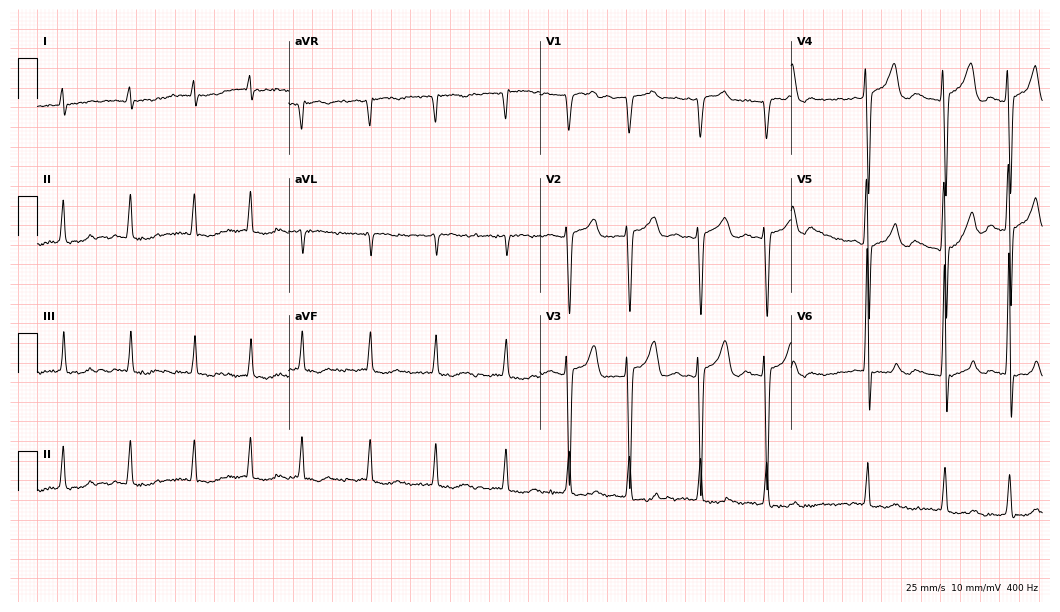
ECG (10.2-second recording at 400 Hz) — a 77-year-old male patient. Findings include atrial fibrillation.